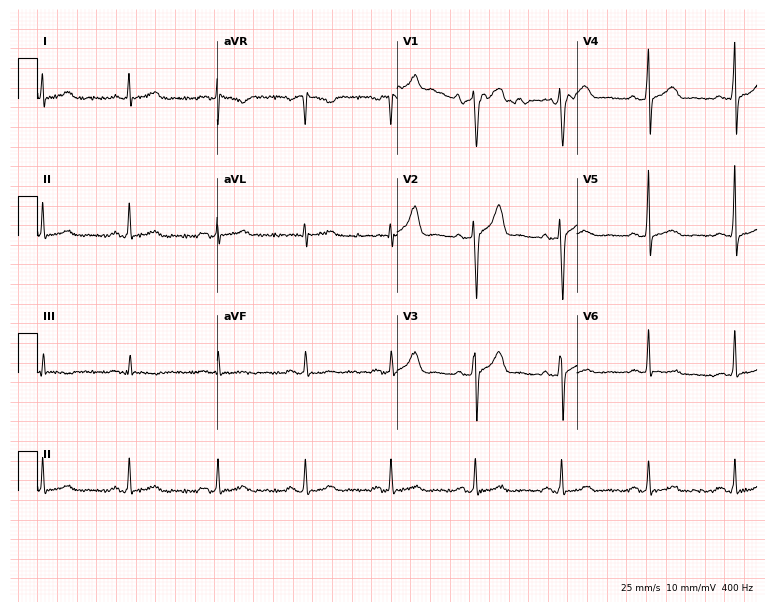
Electrocardiogram (7.3-second recording at 400 Hz), a male, 51 years old. Of the six screened findings (first-degree AV block, right bundle branch block, left bundle branch block, sinus bradycardia, atrial fibrillation, sinus tachycardia), none is recorded.